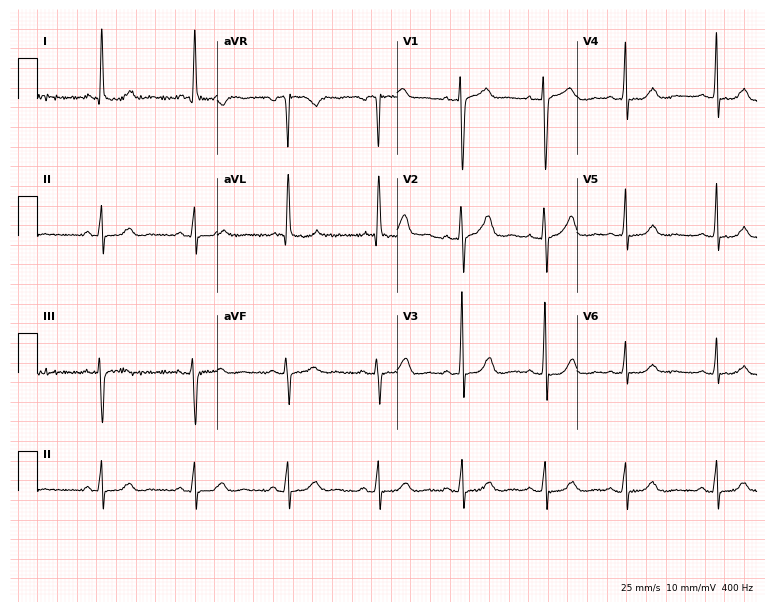
12-lead ECG (7.3-second recording at 400 Hz) from a female patient, 76 years old. Labelled as a normal ECG.